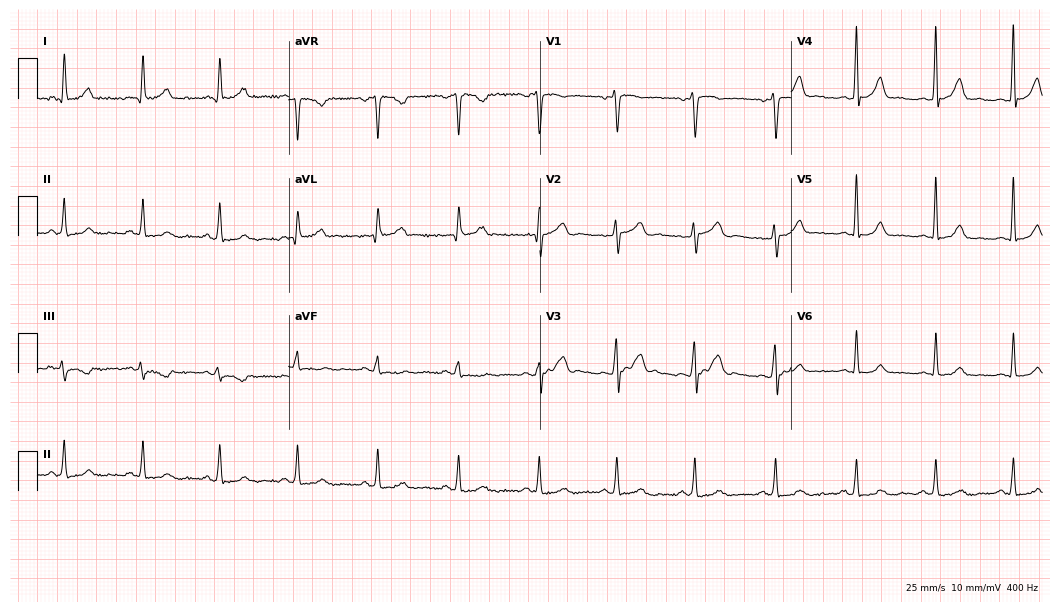
Resting 12-lead electrocardiogram (10.2-second recording at 400 Hz). Patient: a female, 42 years old. None of these six findings is recorded: first-degree AV block, right bundle branch block, left bundle branch block, sinus bradycardia, atrial fibrillation, sinus tachycardia.